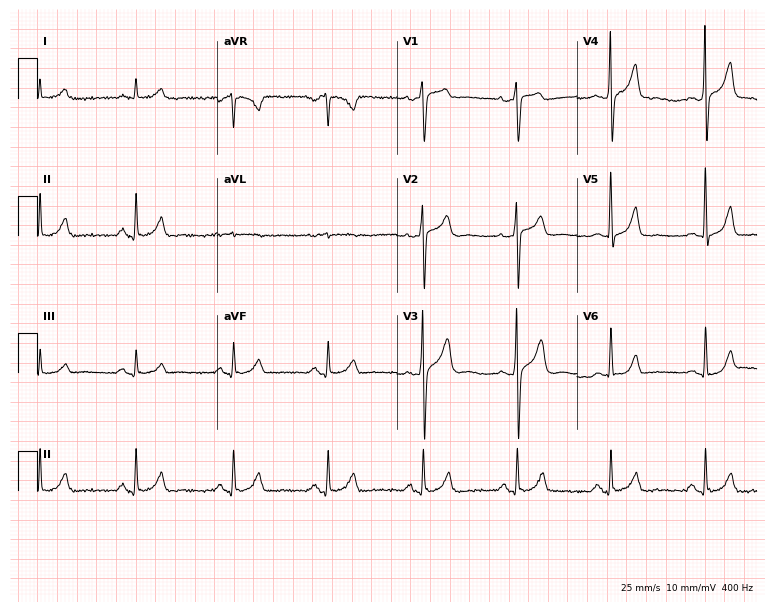
12-lead ECG from a man, 57 years old (7.3-second recording at 400 Hz). No first-degree AV block, right bundle branch block, left bundle branch block, sinus bradycardia, atrial fibrillation or sinus tachycardia recorded for this tracing.